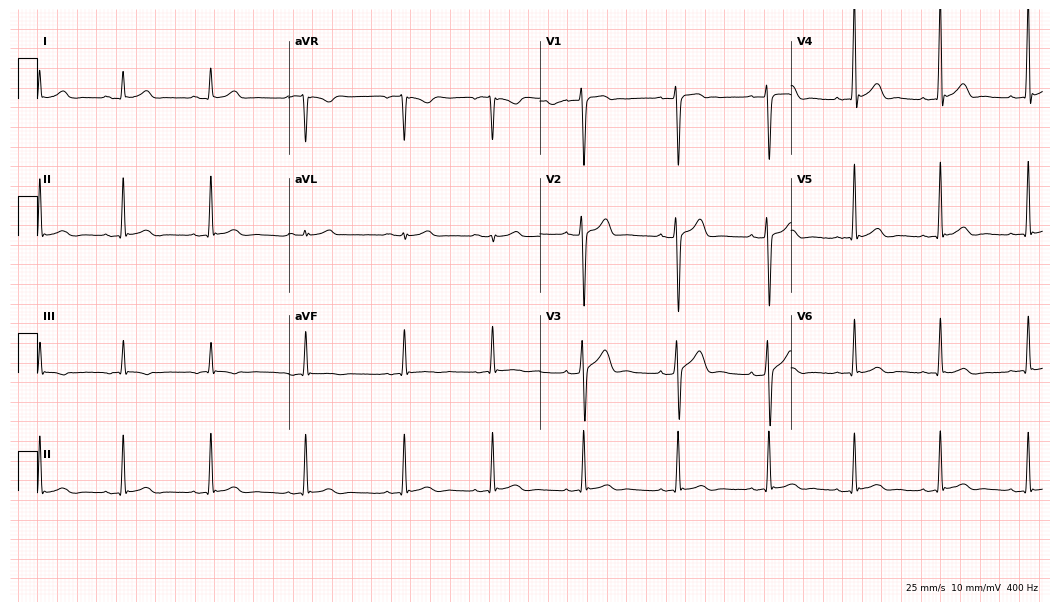
ECG (10.2-second recording at 400 Hz) — a 19-year-old man. Labelled as a normal ECG.